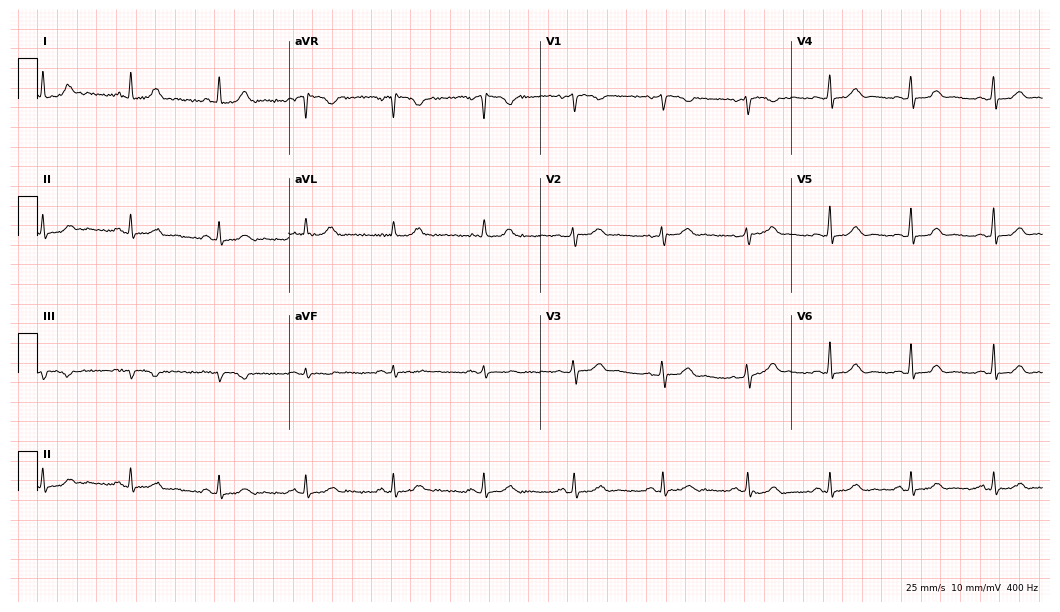
12-lead ECG (10.2-second recording at 400 Hz) from a woman, 60 years old. Labelled as a normal ECG.